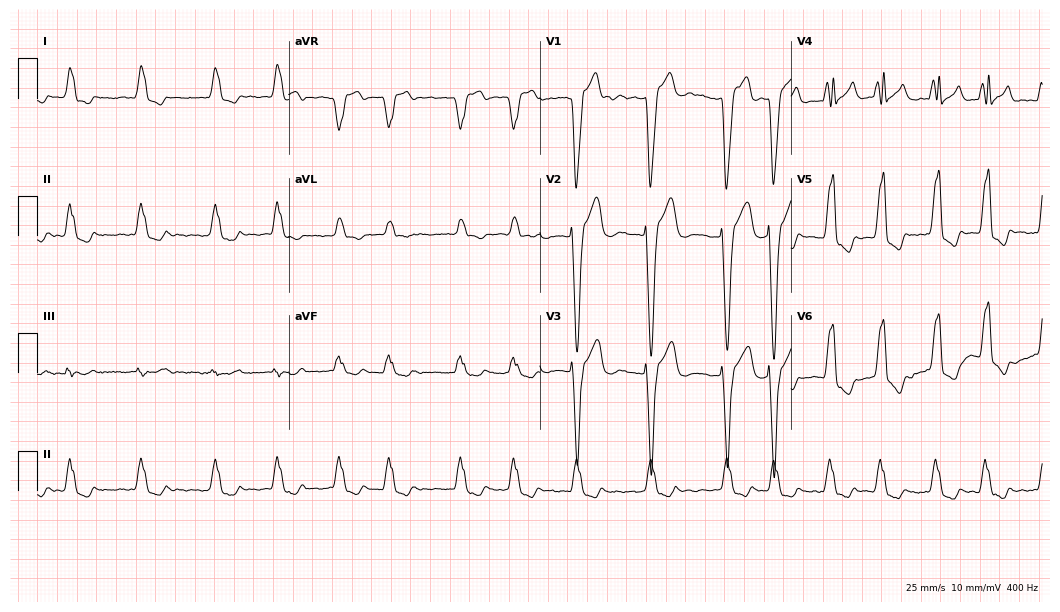
Electrocardiogram, a 78-year-old male patient. Interpretation includes left bundle branch block (LBBB), atrial fibrillation (AF).